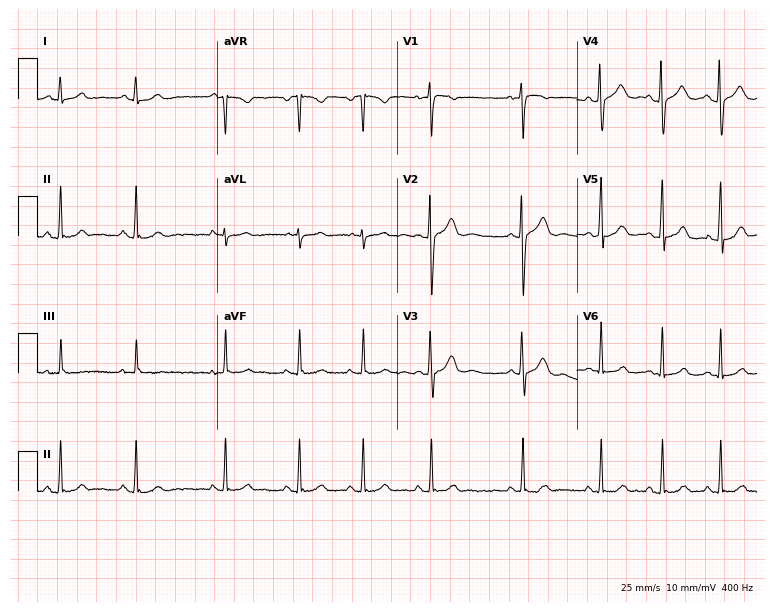
12-lead ECG from a 21-year-old woman. Recorded interpretation: within normal limits.